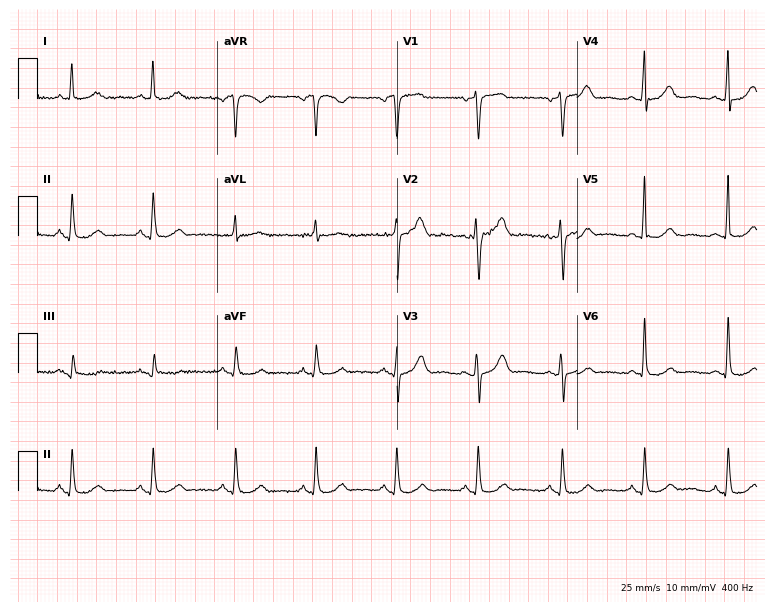
12-lead ECG (7.3-second recording at 400 Hz) from a female patient, 58 years old. Labelled as a normal ECG.